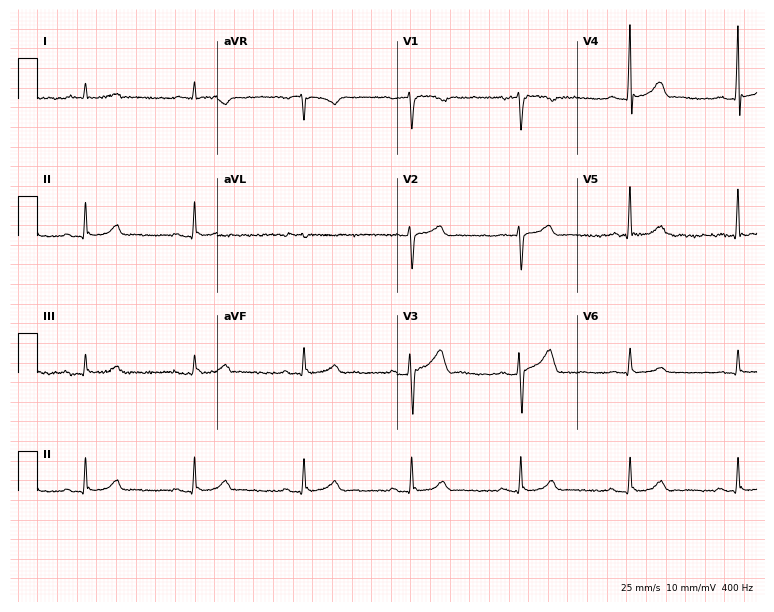
12-lead ECG (7.3-second recording at 400 Hz) from a male patient, 62 years old. Labelled as a normal ECG.